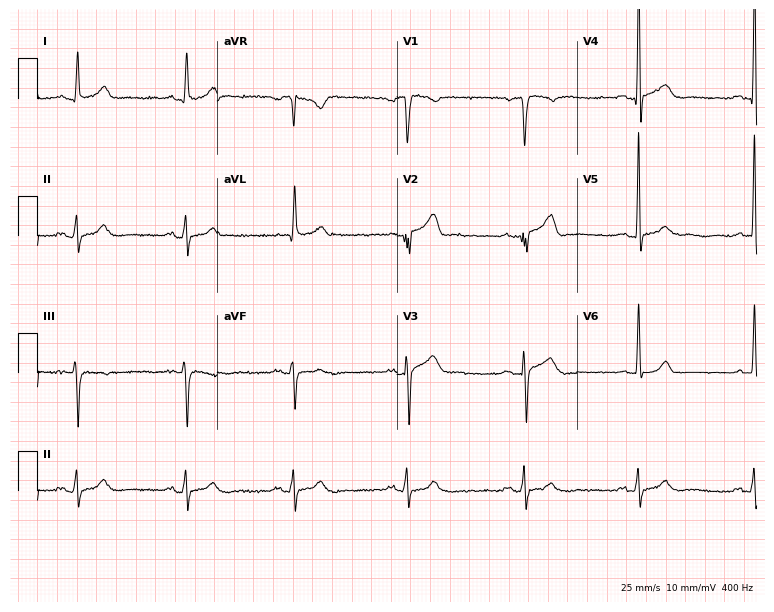
12-lead ECG (7.3-second recording at 400 Hz) from a 45-year-old male patient. Screened for six findings — first-degree AV block, right bundle branch block, left bundle branch block, sinus bradycardia, atrial fibrillation, sinus tachycardia — none is recorded. Other findings, if any, are not listed.